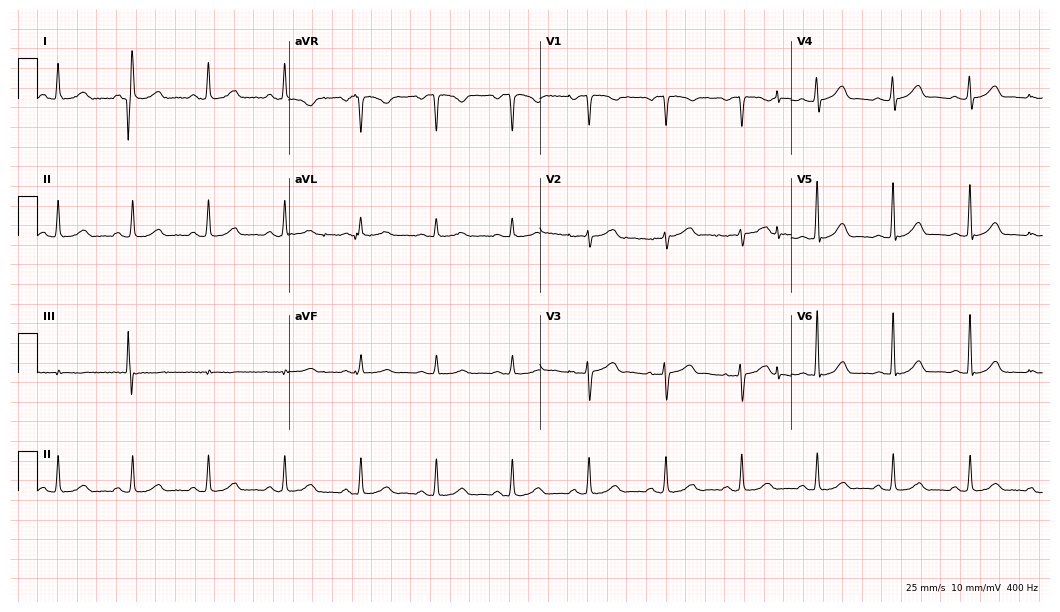
12-lead ECG (10.2-second recording at 400 Hz) from a woman, 63 years old. Labelled as a normal ECG.